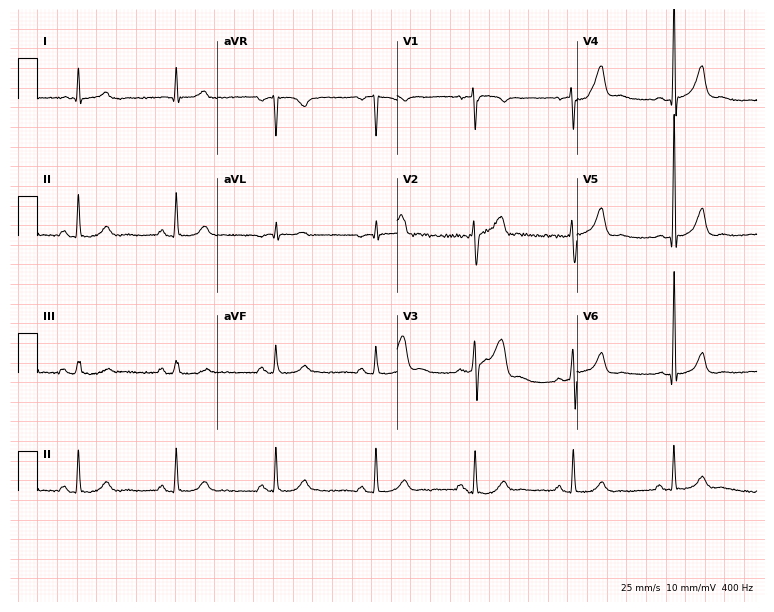
ECG — a 70-year-old male. Screened for six findings — first-degree AV block, right bundle branch block (RBBB), left bundle branch block (LBBB), sinus bradycardia, atrial fibrillation (AF), sinus tachycardia — none is recorded.